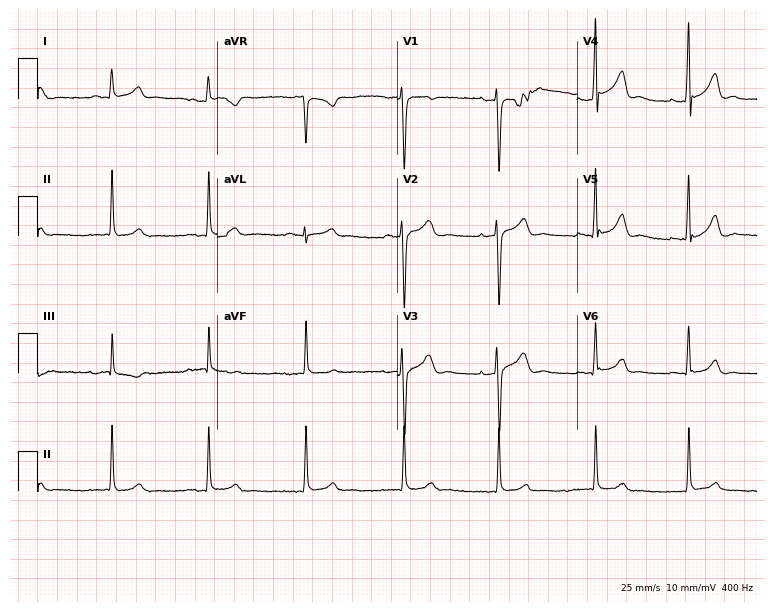
ECG — a 40-year-old male patient. Labelled as a normal ECG.